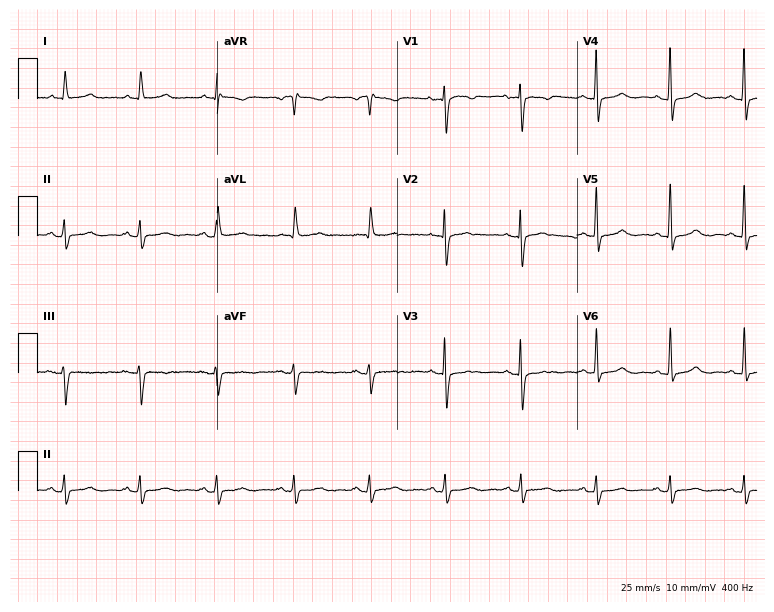
12-lead ECG from a female, 71 years old. Screened for six findings — first-degree AV block, right bundle branch block, left bundle branch block, sinus bradycardia, atrial fibrillation, sinus tachycardia — none is recorded. Only these six findings were labelled.